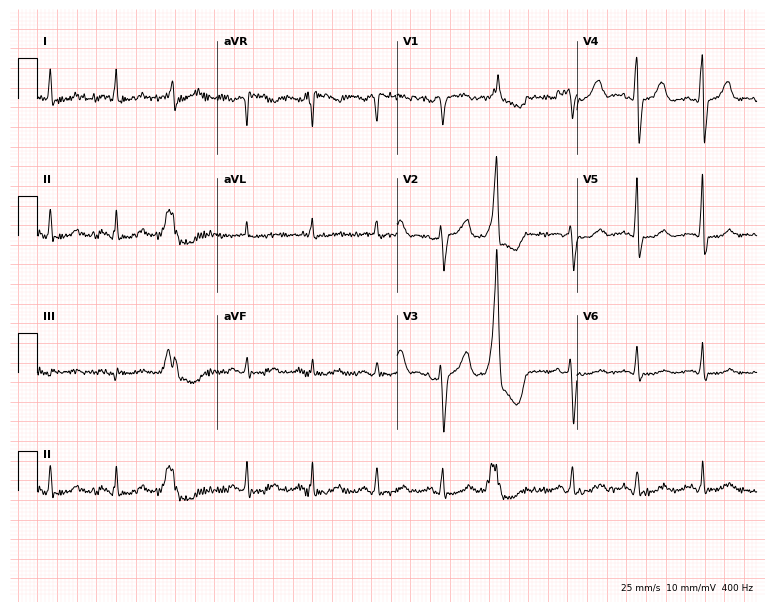
12-lead ECG from a 75-year-old female. Recorded interpretation: within normal limits.